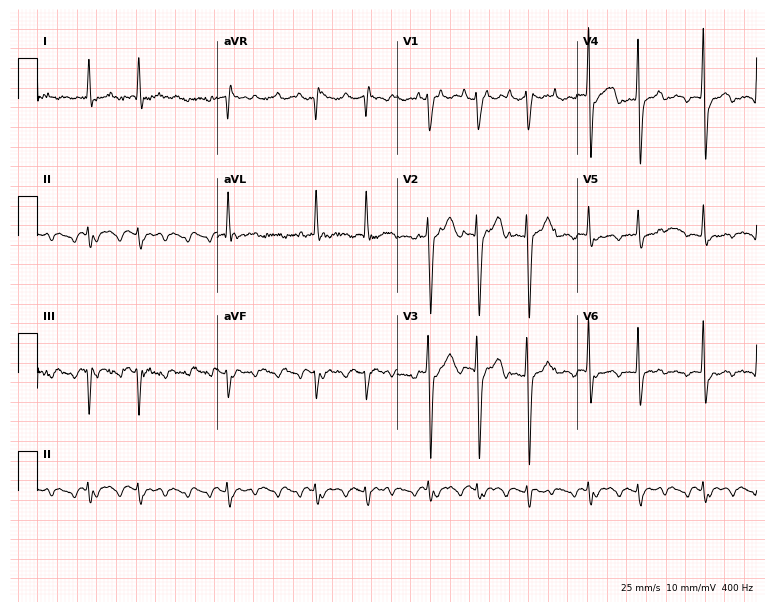
ECG — a man, 73 years old. Screened for six findings — first-degree AV block, right bundle branch block (RBBB), left bundle branch block (LBBB), sinus bradycardia, atrial fibrillation (AF), sinus tachycardia — none is recorded. Only these six findings were labelled.